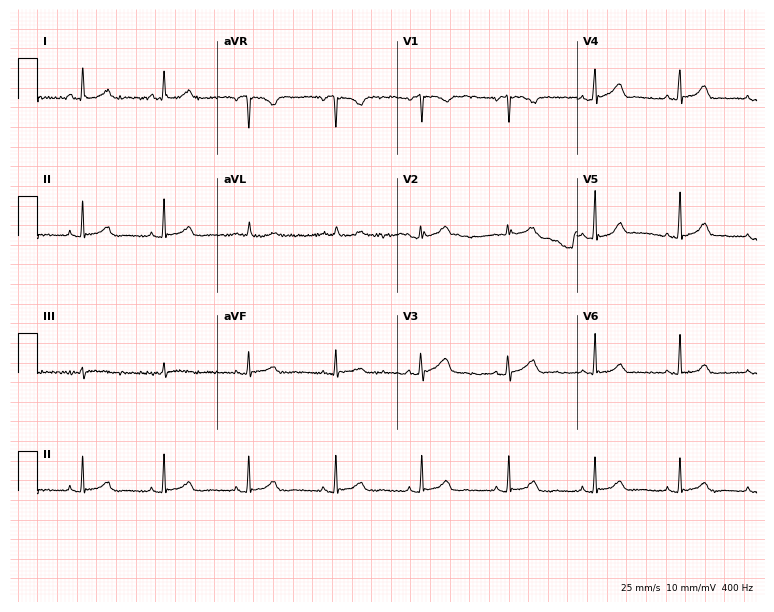
Standard 12-lead ECG recorded from a female patient, 55 years old (7.3-second recording at 400 Hz). None of these six findings is recorded: first-degree AV block, right bundle branch block (RBBB), left bundle branch block (LBBB), sinus bradycardia, atrial fibrillation (AF), sinus tachycardia. Findings outside these six are not listed.